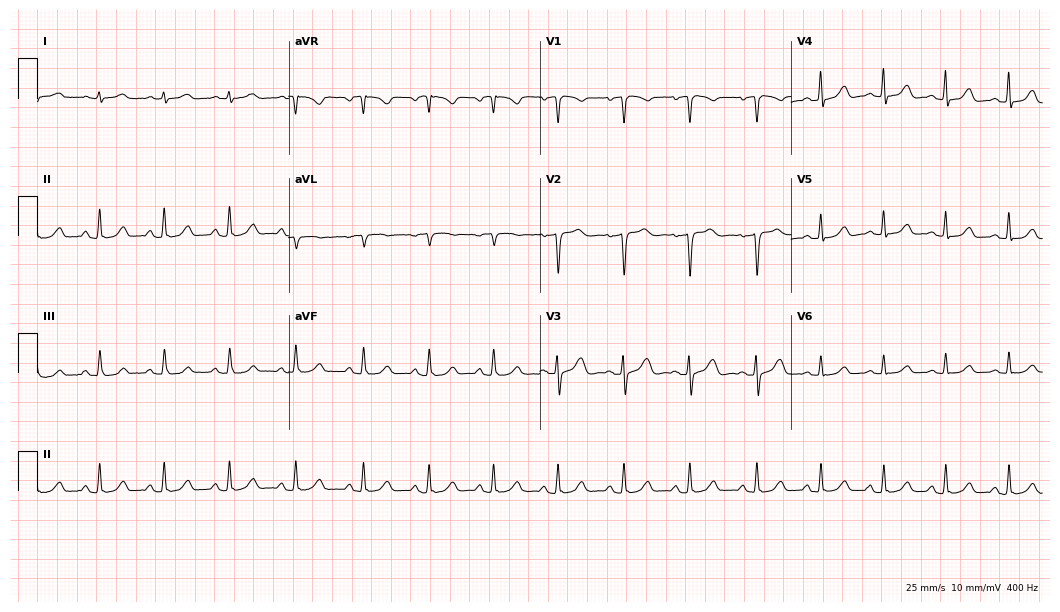
12-lead ECG from a 52-year-old female patient (10.2-second recording at 400 Hz). Recorded interpretation: within normal limits.